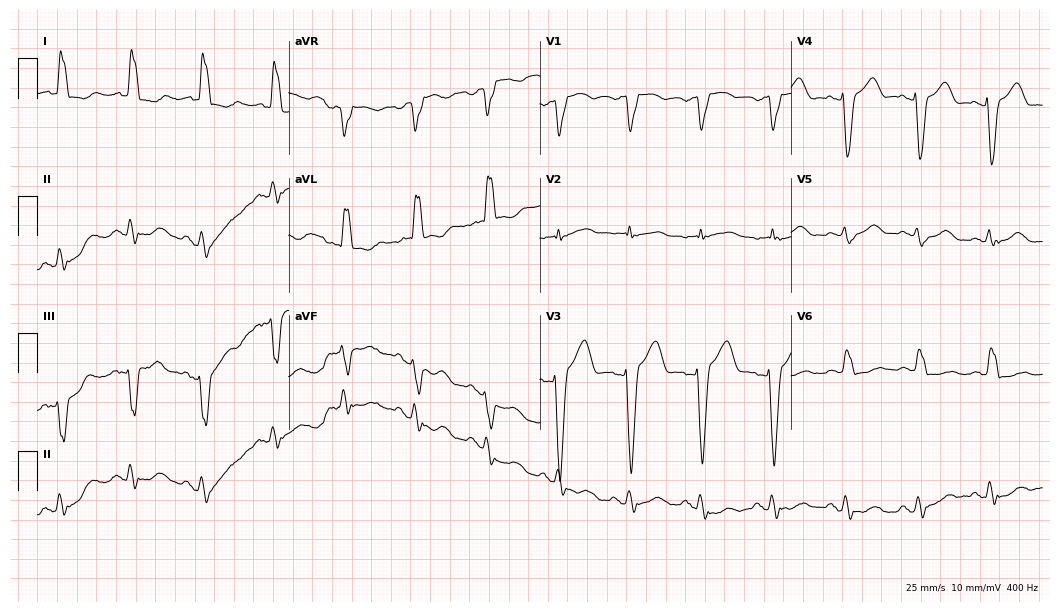
Resting 12-lead electrocardiogram (10.2-second recording at 400 Hz). Patient: a female, 83 years old. None of these six findings is recorded: first-degree AV block, right bundle branch block, left bundle branch block, sinus bradycardia, atrial fibrillation, sinus tachycardia.